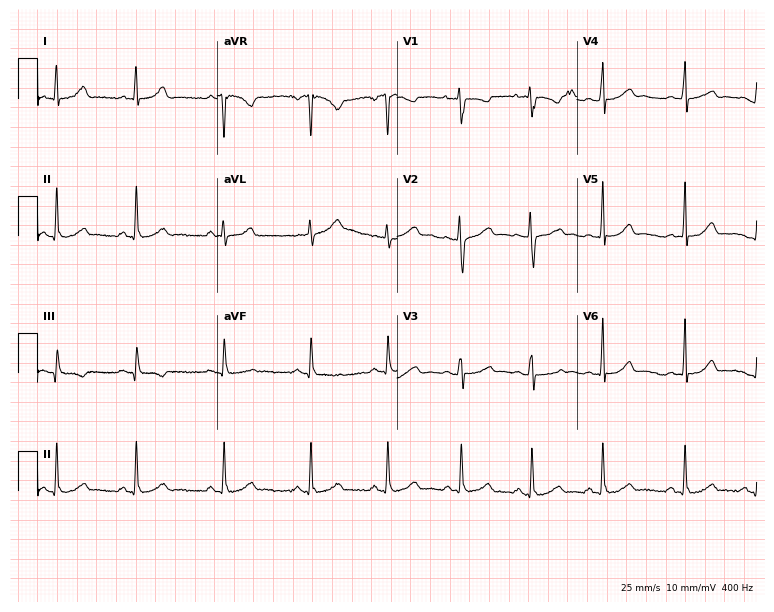
12-lead ECG from a female, 24 years old. Recorded interpretation: within normal limits.